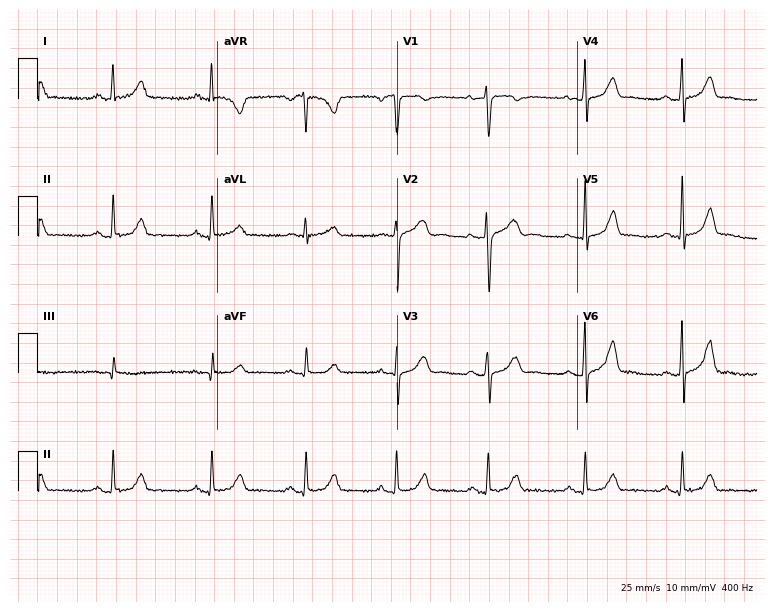
12-lead ECG from a 34-year-old woman (7.3-second recording at 400 Hz). Recorded interpretation: within normal limits.